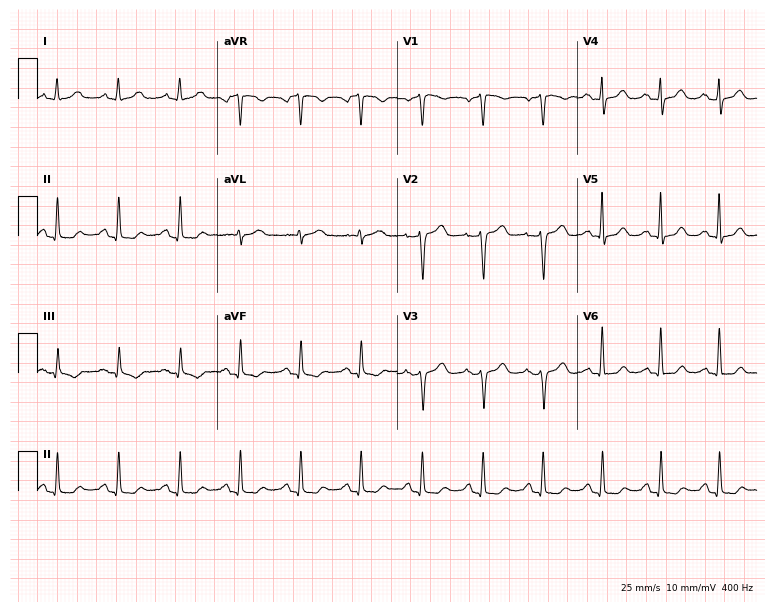
Electrocardiogram, a 50-year-old woman. Overall reading on record: normal ECG.